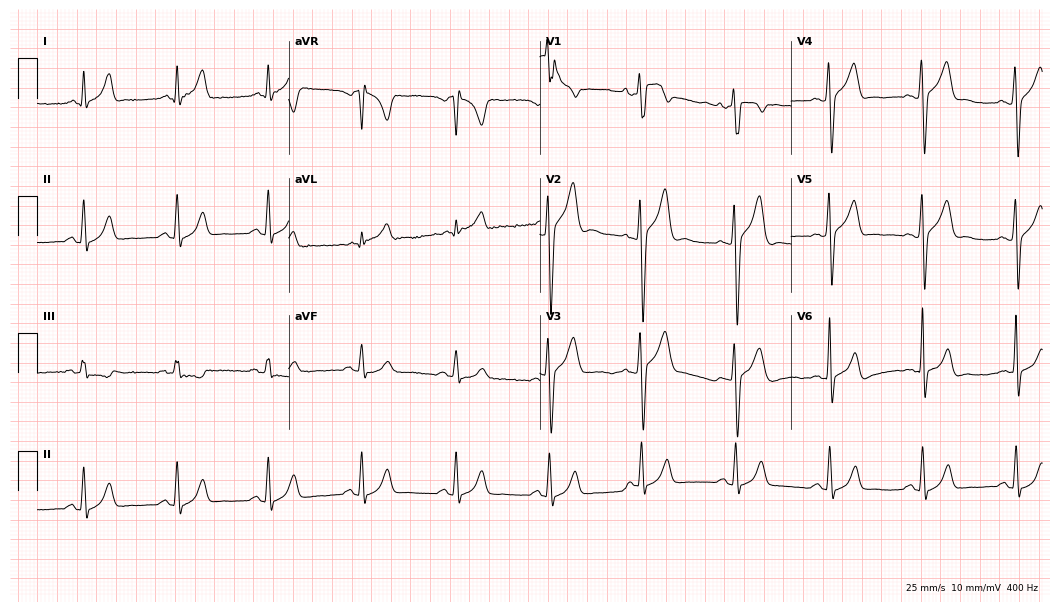
12-lead ECG from a male, 40 years old (10.2-second recording at 400 Hz). Recorded interpretation: within normal limits.